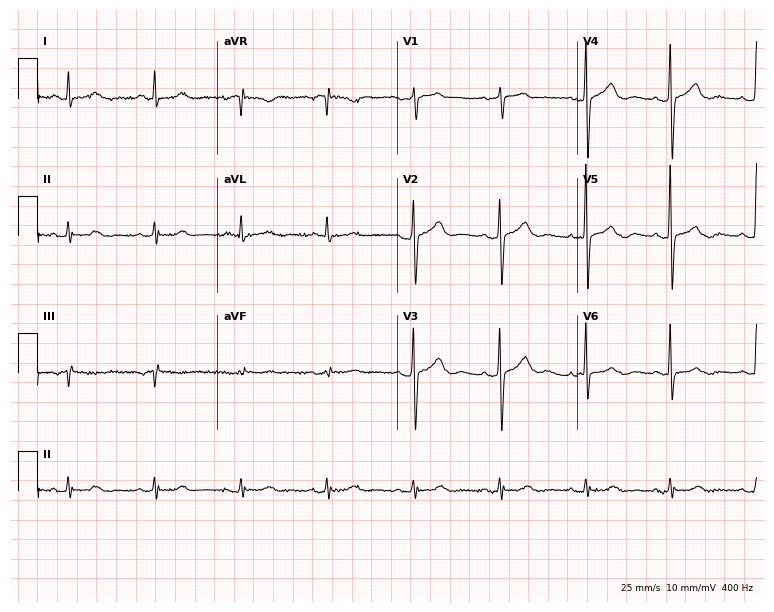
Resting 12-lead electrocardiogram. Patient: a 75-year-old female. None of these six findings is recorded: first-degree AV block, right bundle branch block (RBBB), left bundle branch block (LBBB), sinus bradycardia, atrial fibrillation (AF), sinus tachycardia.